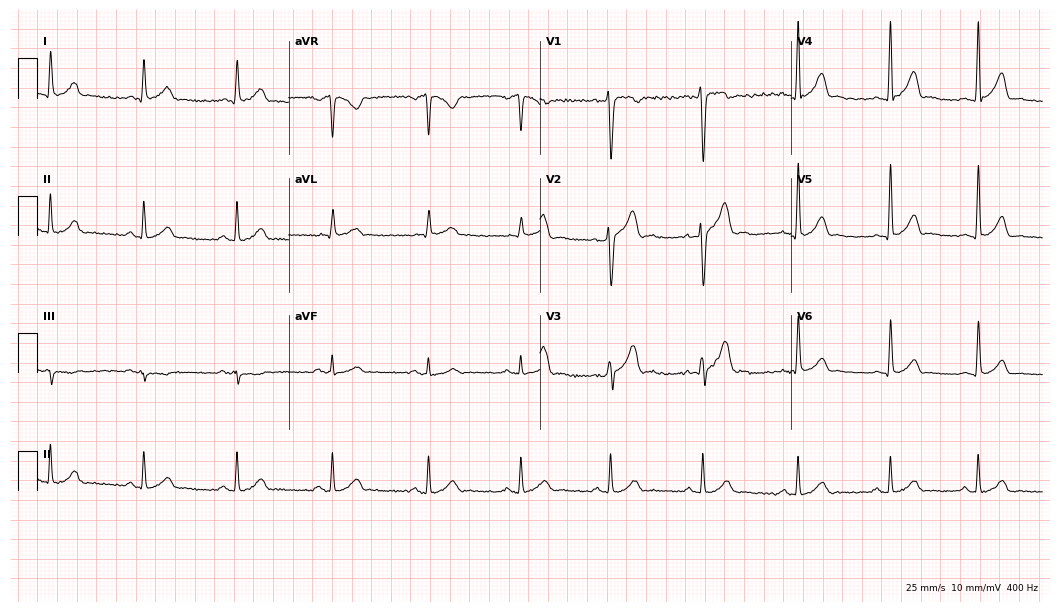
ECG (10.2-second recording at 400 Hz) — a man, 34 years old. Labelled as a normal ECG.